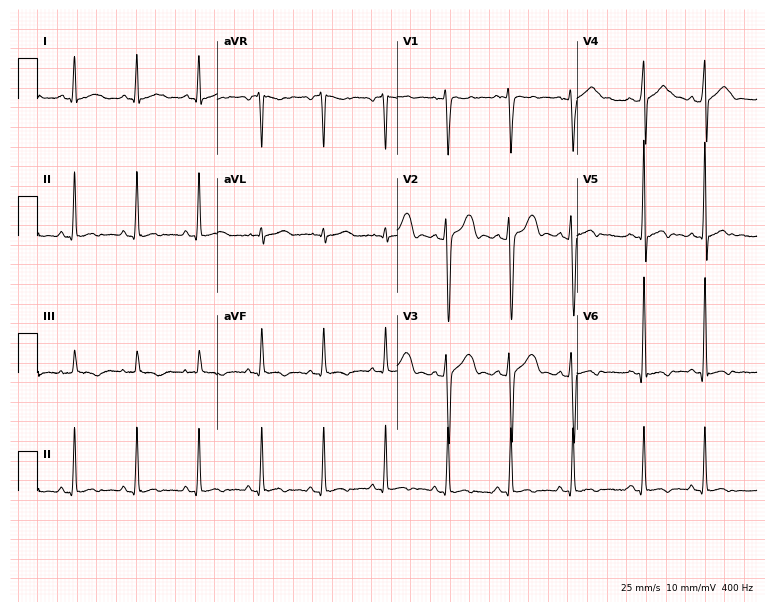
ECG (7.3-second recording at 400 Hz) — a man, 34 years old. Screened for six findings — first-degree AV block, right bundle branch block, left bundle branch block, sinus bradycardia, atrial fibrillation, sinus tachycardia — none is recorded.